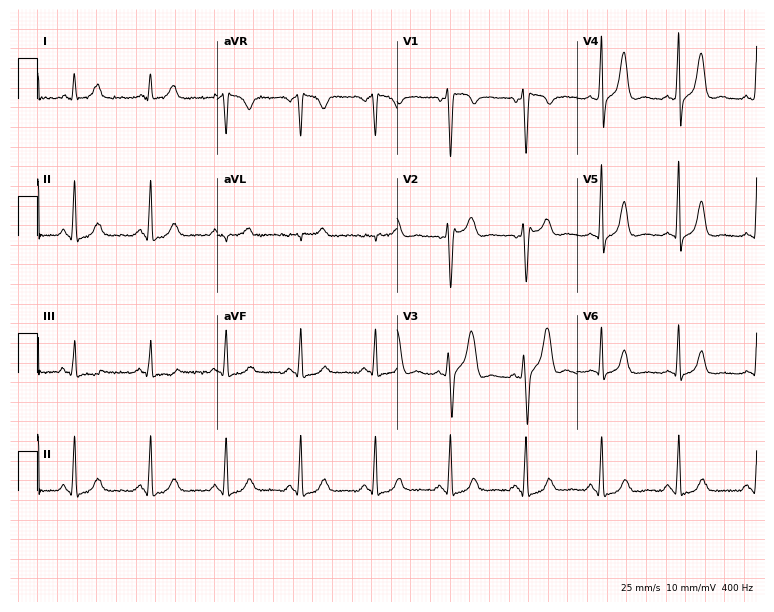
Electrocardiogram, a 54-year-old male patient. Of the six screened findings (first-degree AV block, right bundle branch block, left bundle branch block, sinus bradycardia, atrial fibrillation, sinus tachycardia), none is recorded.